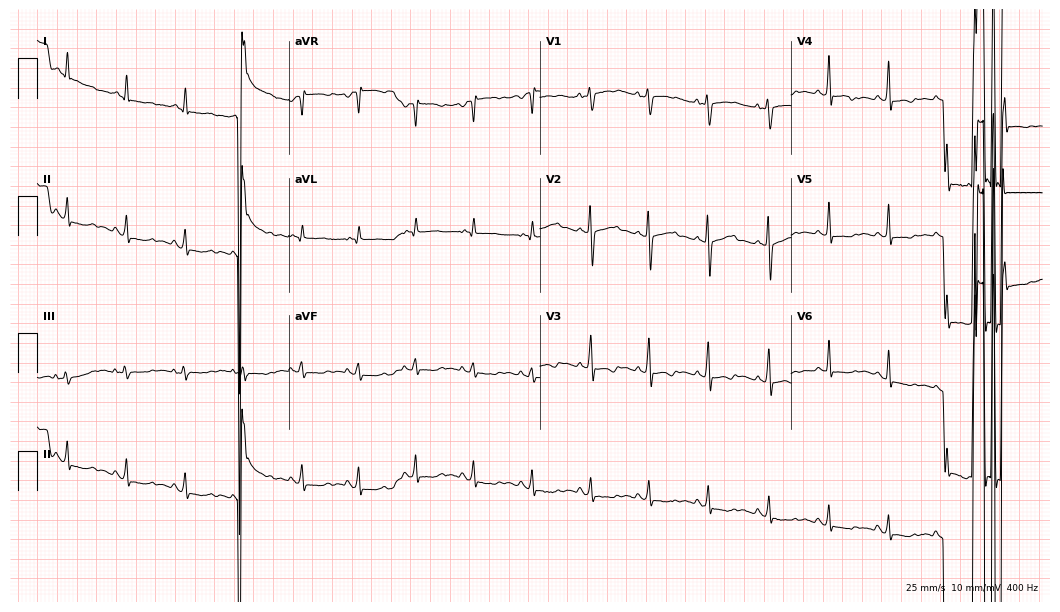
Electrocardiogram (10.2-second recording at 400 Hz), a female patient, 28 years old. Interpretation includes sinus tachycardia (a sinus rate of 100 beats per minute or more).